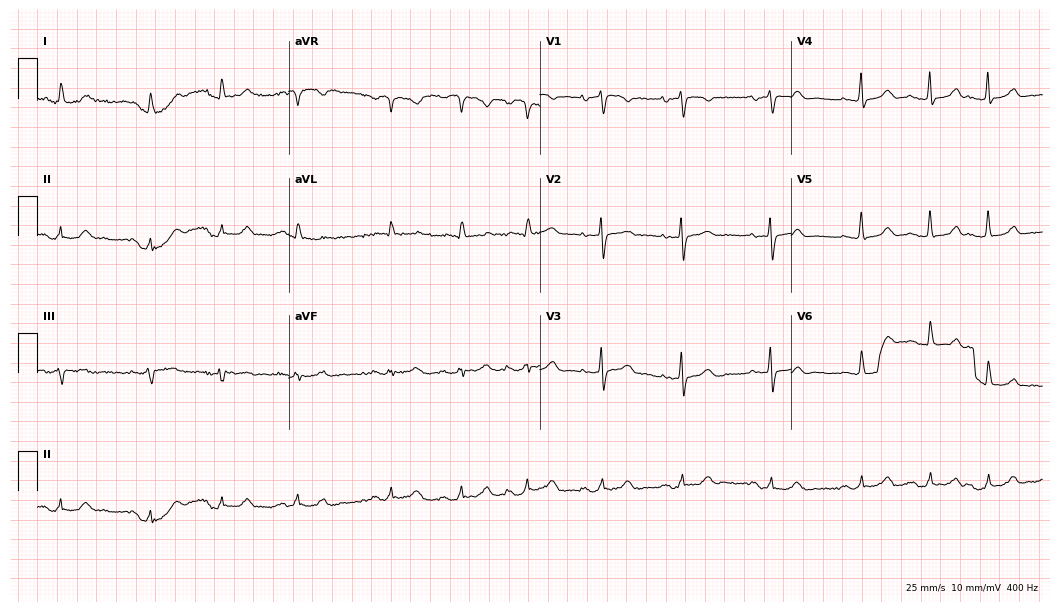
Standard 12-lead ECG recorded from an 80-year-old female. None of these six findings is recorded: first-degree AV block, right bundle branch block, left bundle branch block, sinus bradycardia, atrial fibrillation, sinus tachycardia. Findings outside these six are not listed.